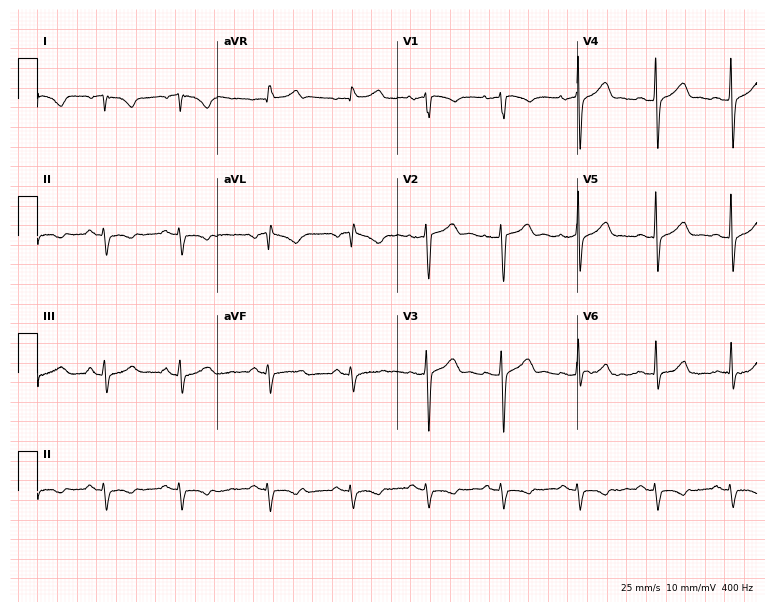
ECG (7.3-second recording at 400 Hz) — a female patient, 47 years old. Screened for six findings — first-degree AV block, right bundle branch block, left bundle branch block, sinus bradycardia, atrial fibrillation, sinus tachycardia — none is recorded.